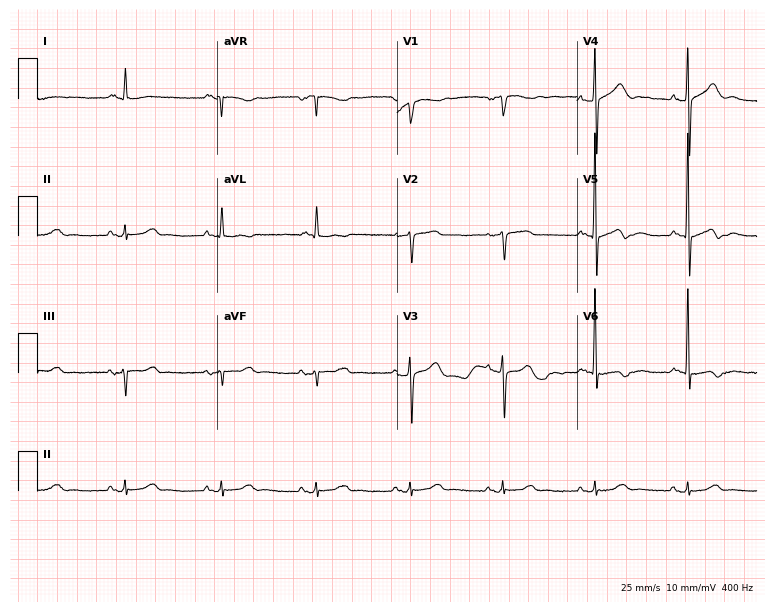
12-lead ECG from a man, 70 years old. Screened for six findings — first-degree AV block, right bundle branch block, left bundle branch block, sinus bradycardia, atrial fibrillation, sinus tachycardia — none is recorded.